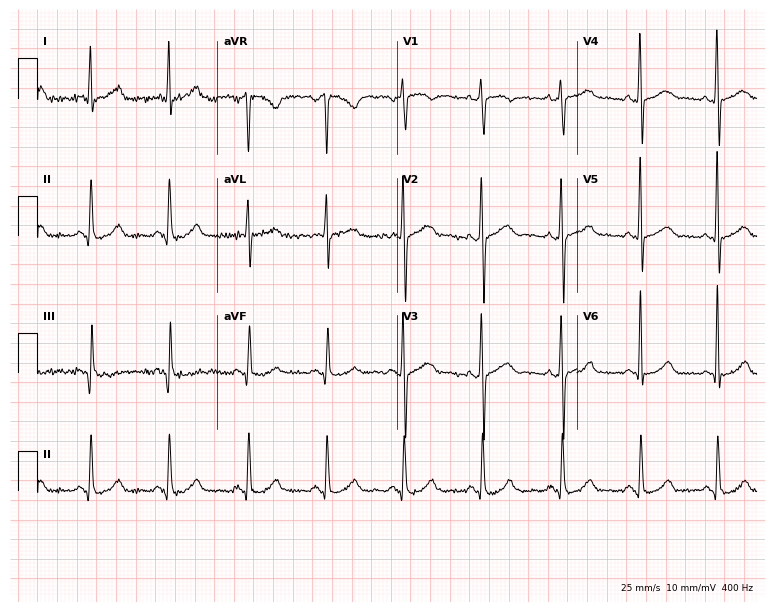
12-lead ECG from a 42-year-old female patient. Screened for six findings — first-degree AV block, right bundle branch block, left bundle branch block, sinus bradycardia, atrial fibrillation, sinus tachycardia — none is recorded. Only these six findings were labelled.